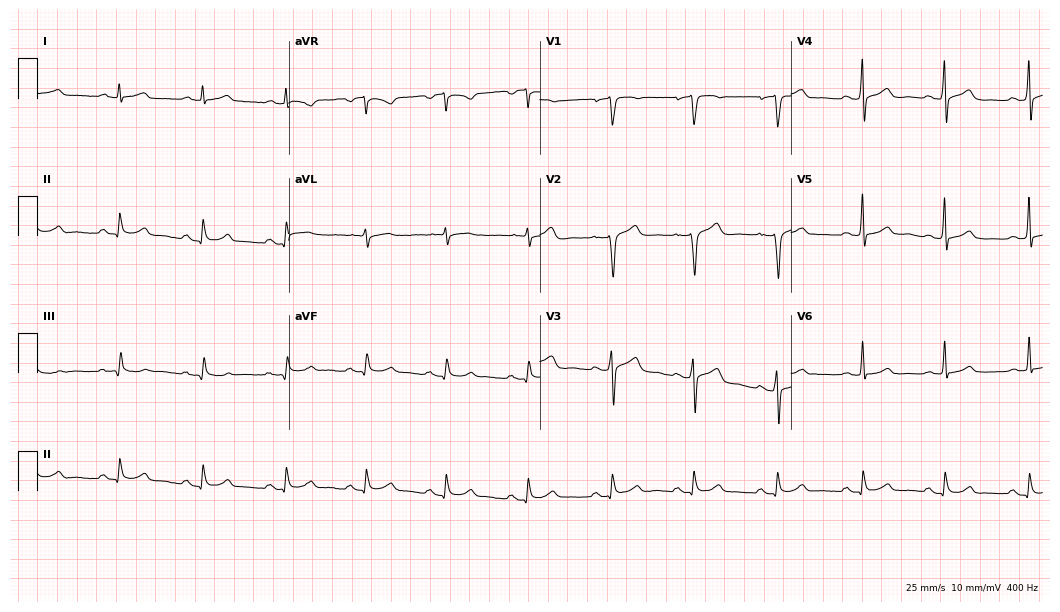
Resting 12-lead electrocardiogram. Patient: a 45-year-old man. Read as a normal ECG.